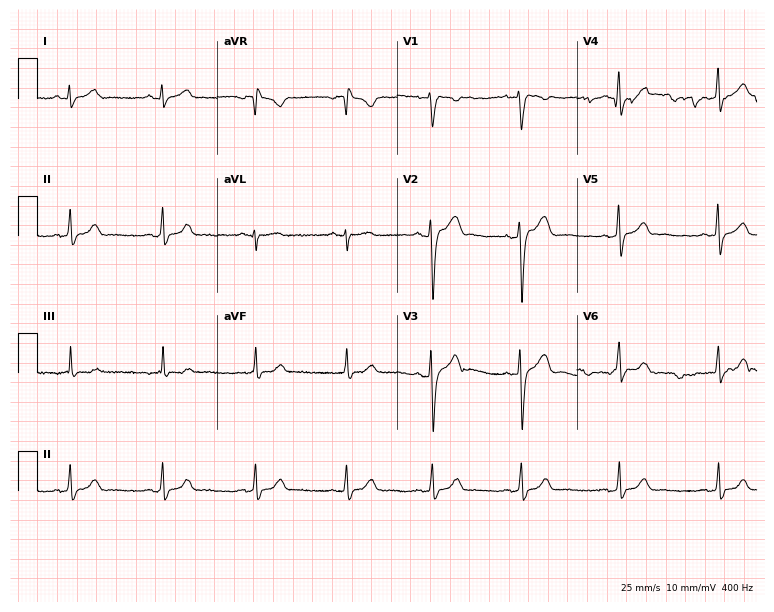
12-lead ECG from a female patient, 27 years old. Screened for six findings — first-degree AV block, right bundle branch block, left bundle branch block, sinus bradycardia, atrial fibrillation, sinus tachycardia — none is recorded.